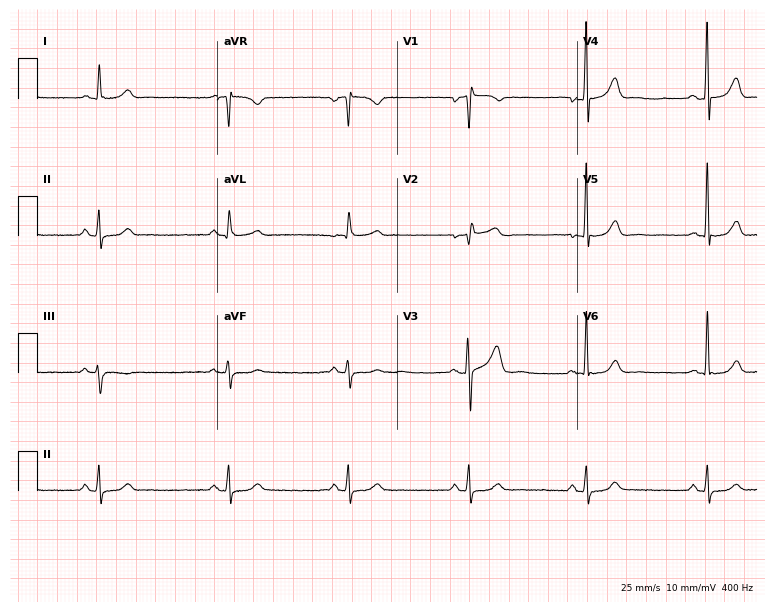
Resting 12-lead electrocardiogram. Patient: a man, 68 years old. The tracing shows sinus bradycardia (a sinus rate of 50 beats per minute or less).